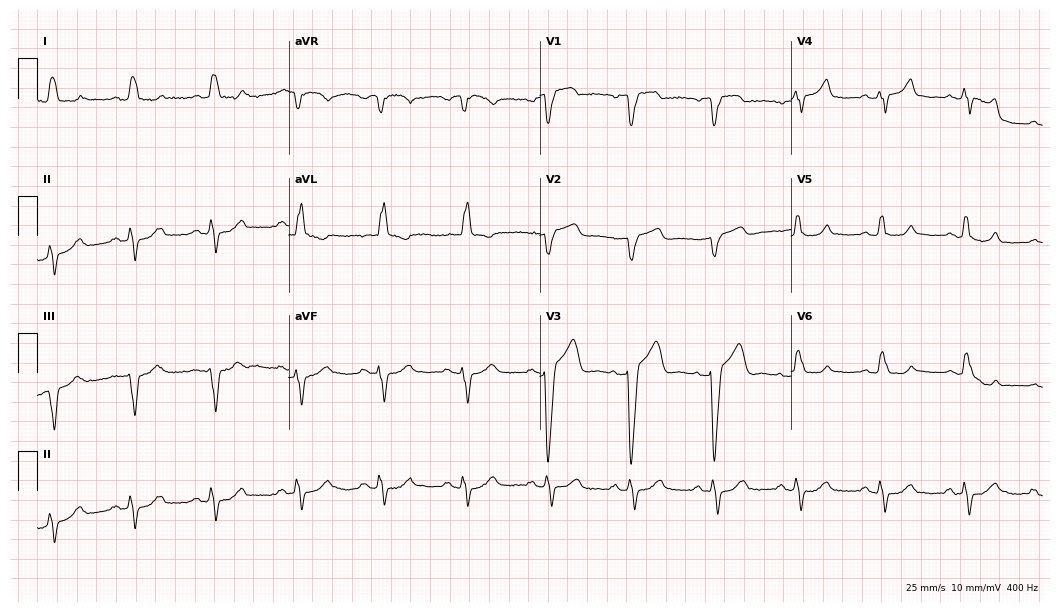
ECG (10.2-second recording at 400 Hz) — a 71-year-old female. Screened for six findings — first-degree AV block, right bundle branch block (RBBB), left bundle branch block (LBBB), sinus bradycardia, atrial fibrillation (AF), sinus tachycardia — none is recorded.